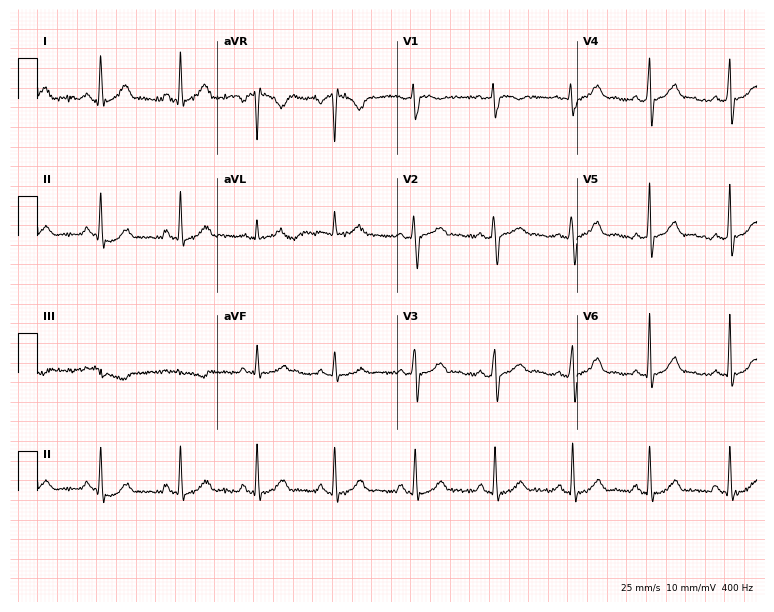
12-lead ECG from a woman, 42 years old. Recorded interpretation: within normal limits.